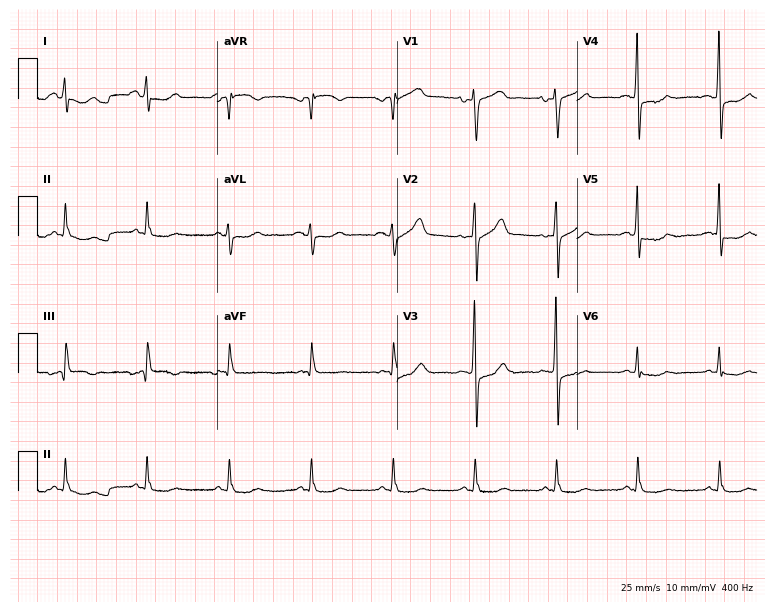
Resting 12-lead electrocardiogram (7.3-second recording at 400 Hz). Patient: a 68-year-old male. None of these six findings is recorded: first-degree AV block, right bundle branch block (RBBB), left bundle branch block (LBBB), sinus bradycardia, atrial fibrillation (AF), sinus tachycardia. Findings outside these six are not listed.